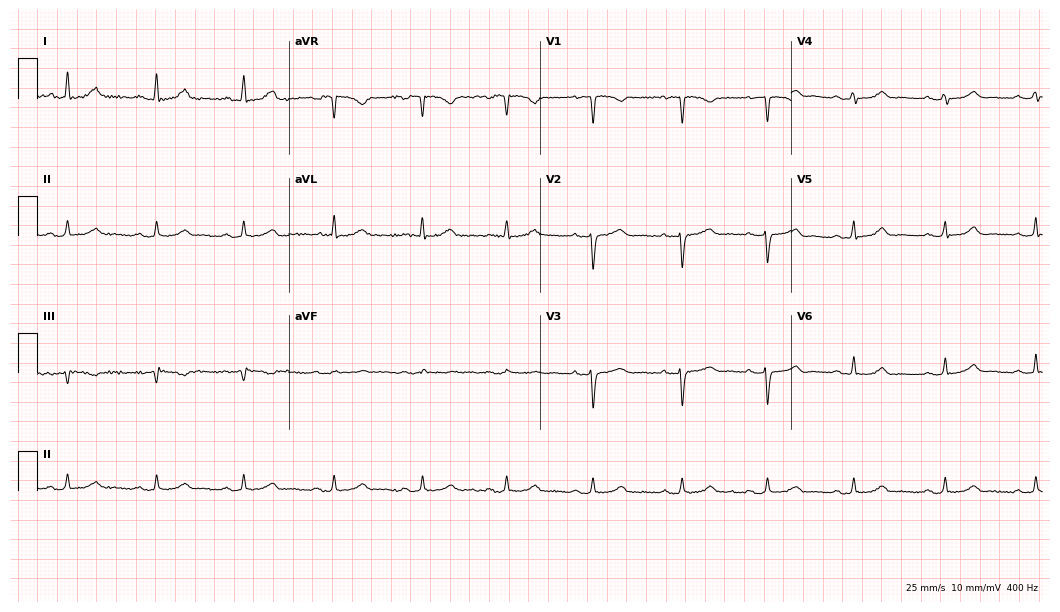
Standard 12-lead ECG recorded from a 43-year-old woman (10.2-second recording at 400 Hz). Read as a normal ECG.